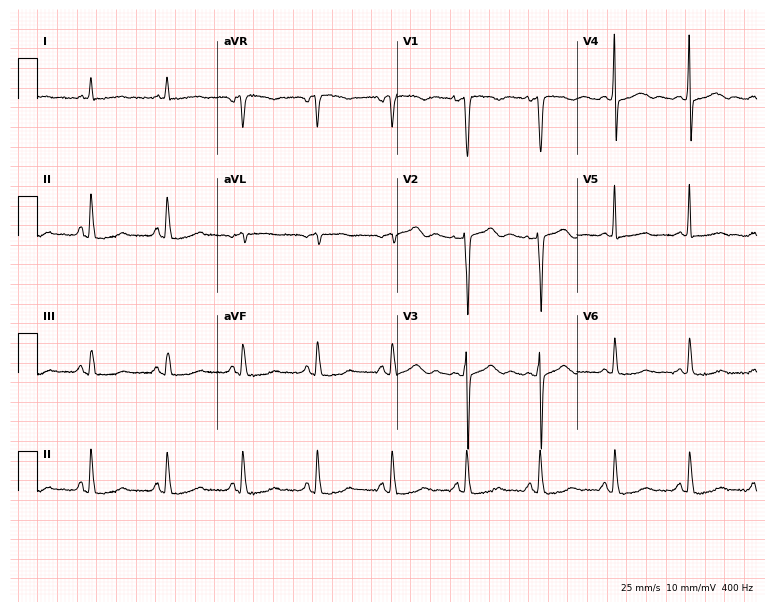
ECG (7.3-second recording at 400 Hz) — a 58-year-old woman. Screened for six findings — first-degree AV block, right bundle branch block, left bundle branch block, sinus bradycardia, atrial fibrillation, sinus tachycardia — none is recorded.